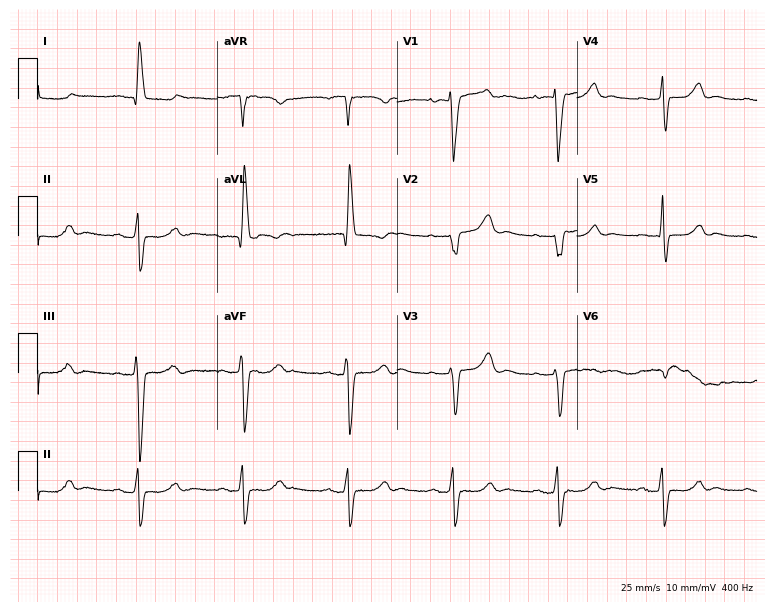
12-lead ECG from a woman, 71 years old. No first-degree AV block, right bundle branch block (RBBB), left bundle branch block (LBBB), sinus bradycardia, atrial fibrillation (AF) or sinus tachycardia recorded for this tracing. Only these six findings were labelled.